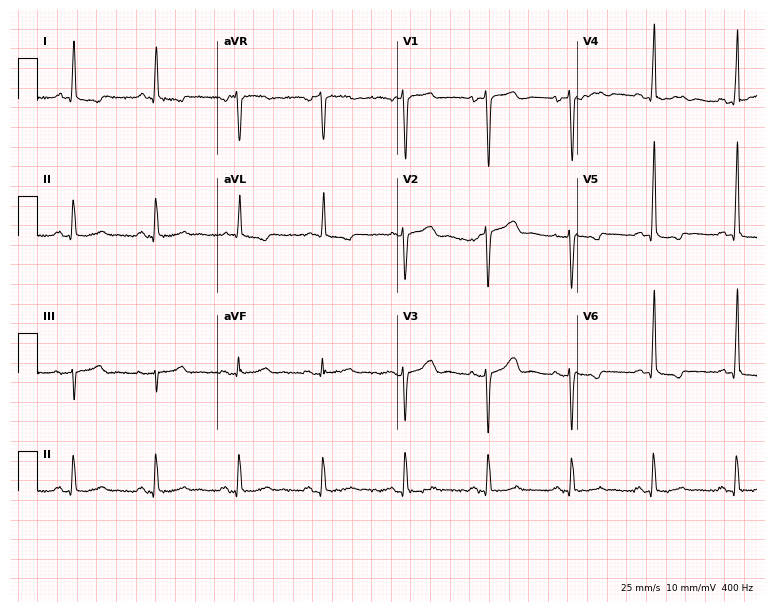
12-lead ECG from a female, 76 years old (7.3-second recording at 400 Hz). No first-degree AV block, right bundle branch block, left bundle branch block, sinus bradycardia, atrial fibrillation or sinus tachycardia recorded for this tracing. Findings outside these six are not listed.